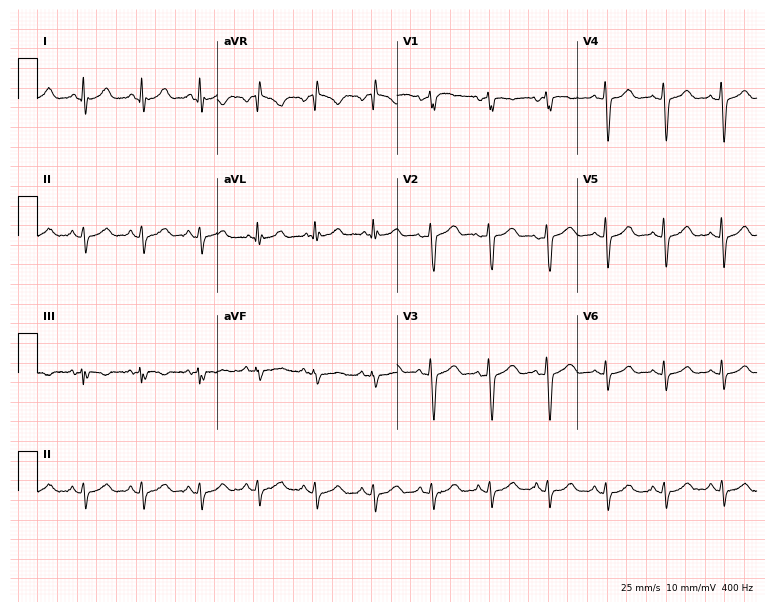
Electrocardiogram, a female, 66 years old. Of the six screened findings (first-degree AV block, right bundle branch block, left bundle branch block, sinus bradycardia, atrial fibrillation, sinus tachycardia), none is recorded.